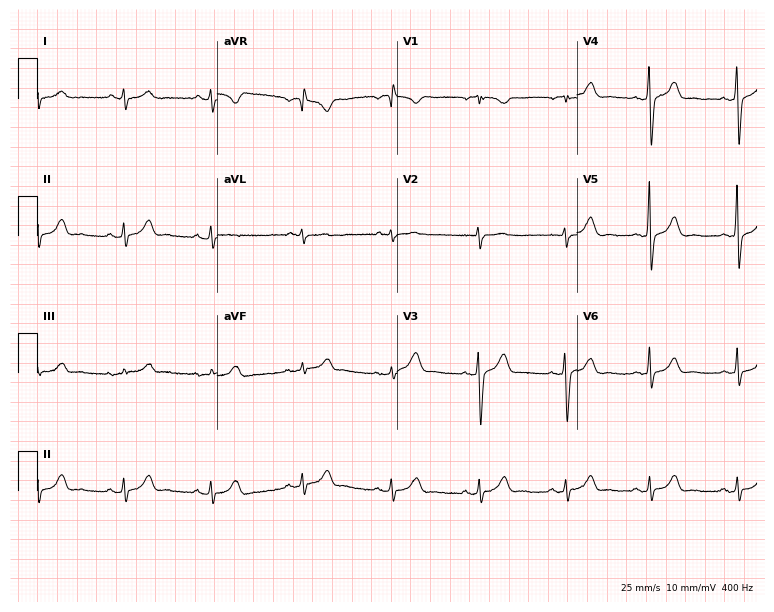
Electrocardiogram, a male, 43 years old. Overall reading on record: normal ECG.